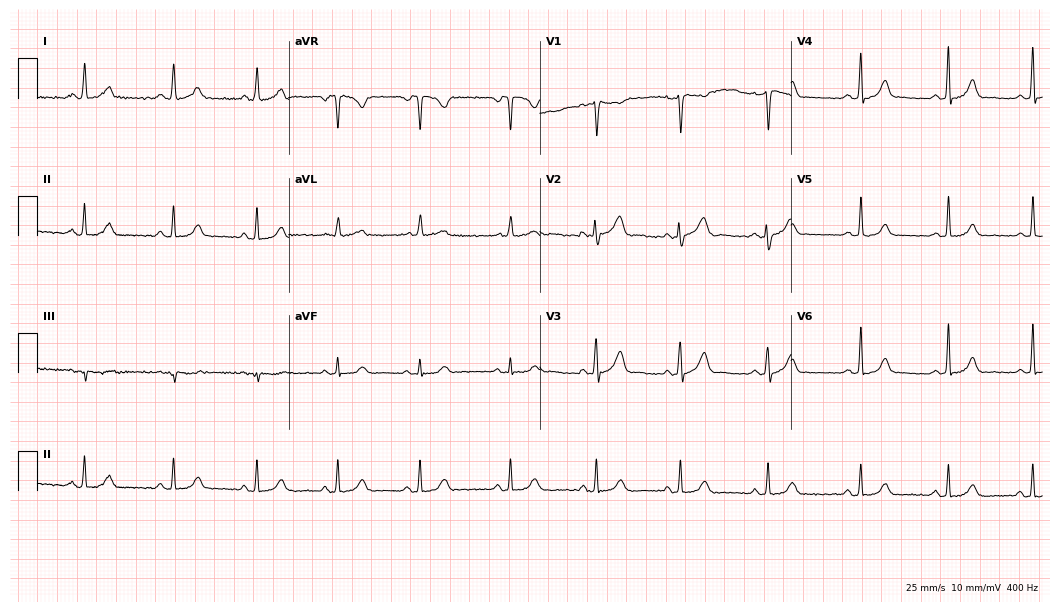
12-lead ECG from a female patient, 40 years old. Labelled as a normal ECG.